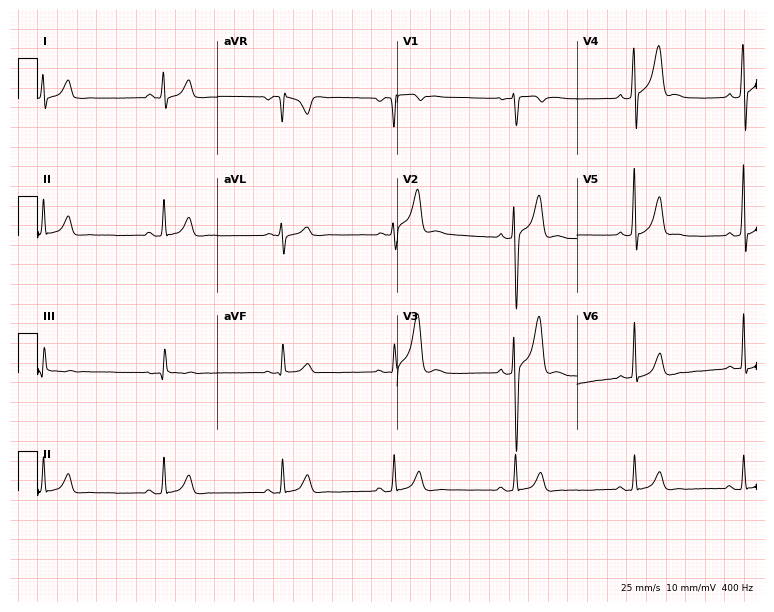
Resting 12-lead electrocardiogram (7.3-second recording at 400 Hz). Patient: a male, 27 years old. The tracing shows sinus bradycardia (a sinus rate of 50 beats per minute or less).